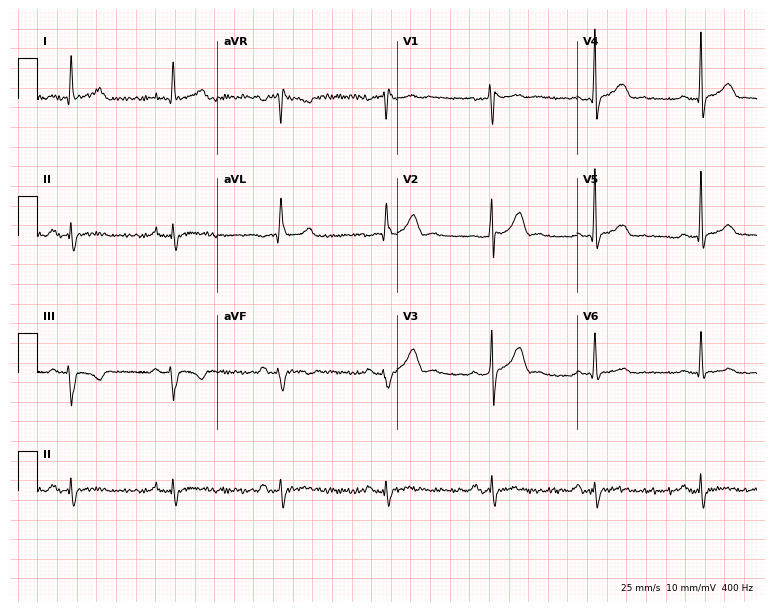
12-lead ECG from a 35-year-old male. Screened for six findings — first-degree AV block, right bundle branch block, left bundle branch block, sinus bradycardia, atrial fibrillation, sinus tachycardia — none is recorded. Other findings, if any, are not listed.